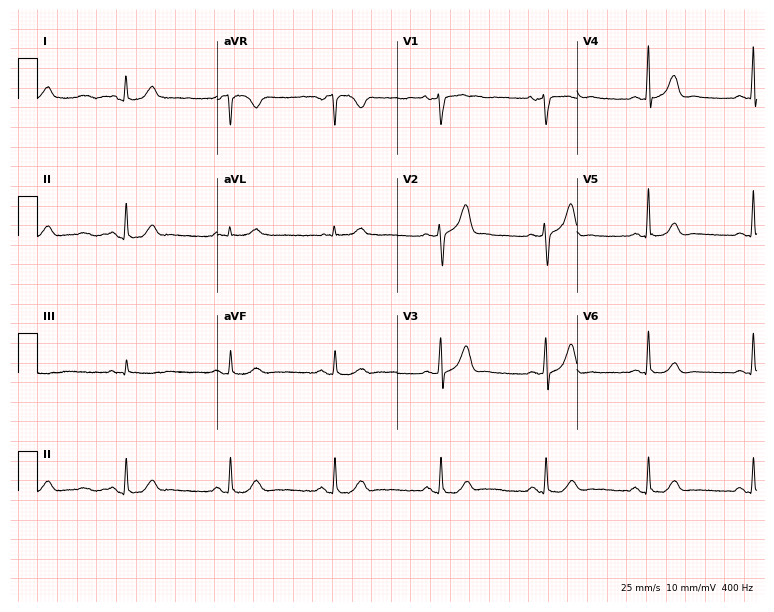
12-lead ECG (7.3-second recording at 400 Hz) from a male patient, 49 years old. Labelled as a normal ECG.